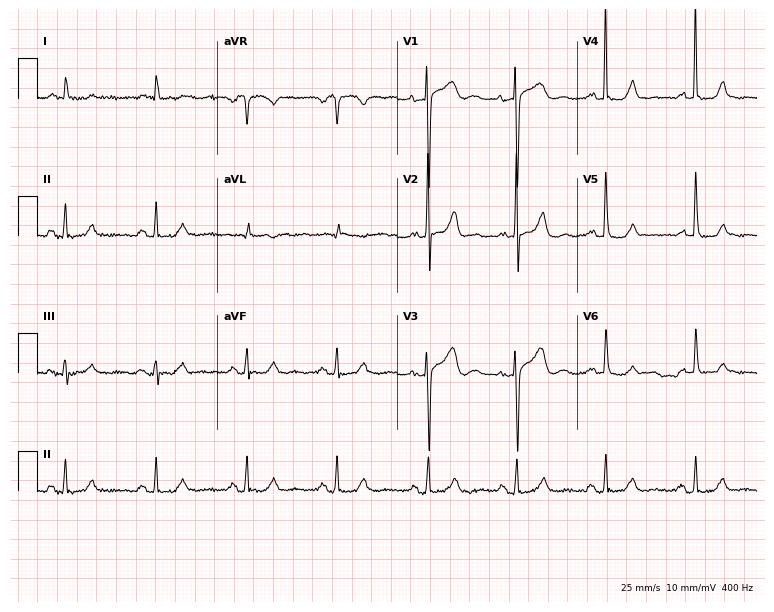
12-lead ECG from a 77-year-old female patient. Screened for six findings — first-degree AV block, right bundle branch block, left bundle branch block, sinus bradycardia, atrial fibrillation, sinus tachycardia — none is recorded. Other findings, if any, are not listed.